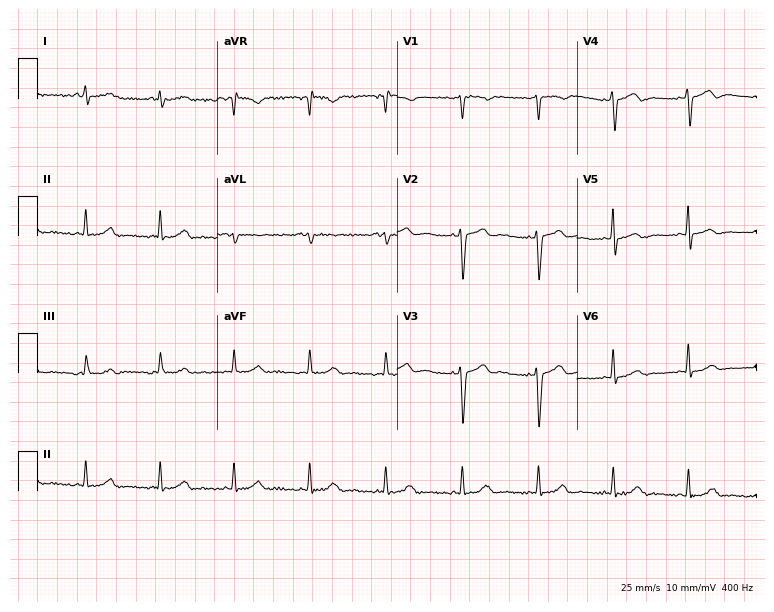
Resting 12-lead electrocardiogram. Patient: a 46-year-old female. None of these six findings is recorded: first-degree AV block, right bundle branch block, left bundle branch block, sinus bradycardia, atrial fibrillation, sinus tachycardia. Other findings, if any, are not listed.